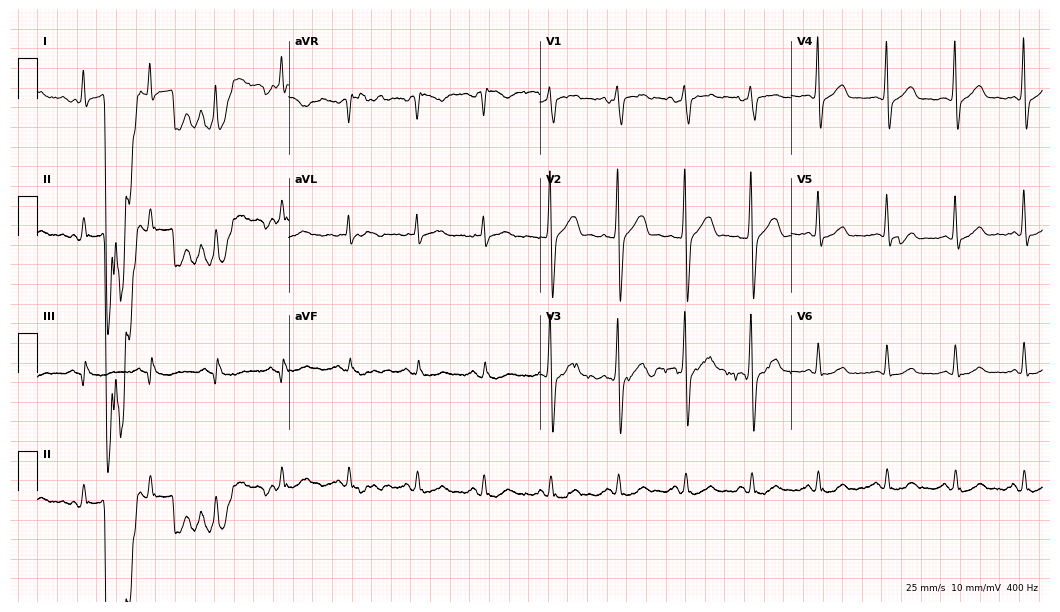
12-lead ECG from a man, 61 years old (10.2-second recording at 400 Hz). No first-degree AV block, right bundle branch block, left bundle branch block, sinus bradycardia, atrial fibrillation or sinus tachycardia recorded for this tracing.